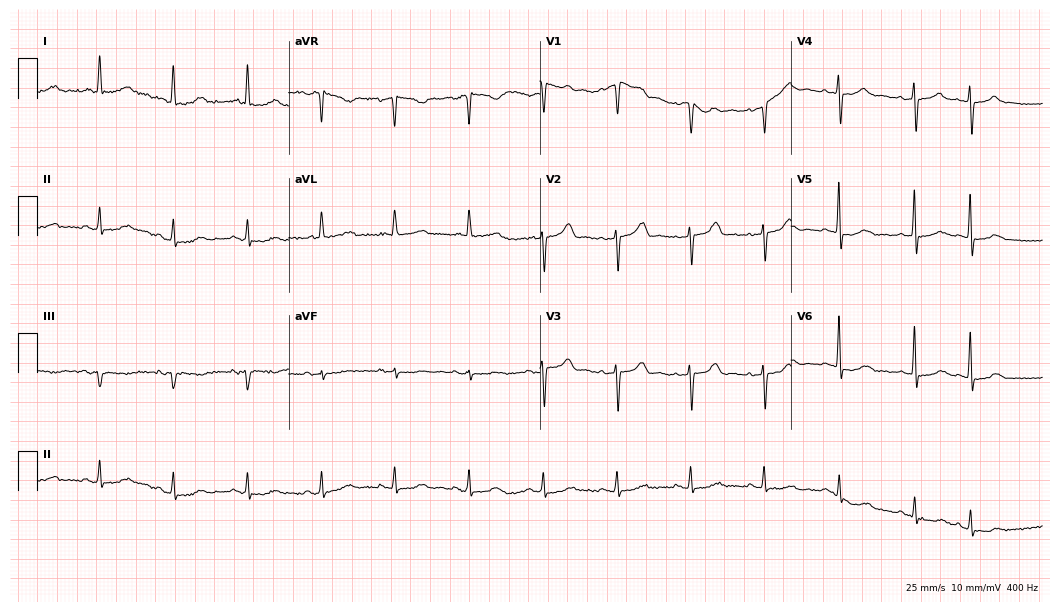
Resting 12-lead electrocardiogram (10.2-second recording at 400 Hz). Patient: a woman, 81 years old. None of these six findings is recorded: first-degree AV block, right bundle branch block, left bundle branch block, sinus bradycardia, atrial fibrillation, sinus tachycardia.